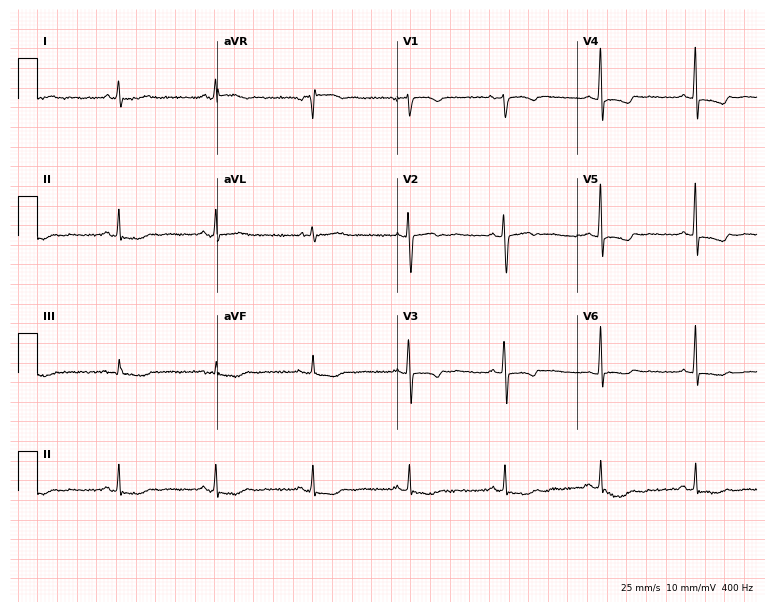
12-lead ECG (7.3-second recording at 400 Hz) from a 53-year-old female. Screened for six findings — first-degree AV block, right bundle branch block, left bundle branch block, sinus bradycardia, atrial fibrillation, sinus tachycardia — none is recorded. Findings outside these six are not listed.